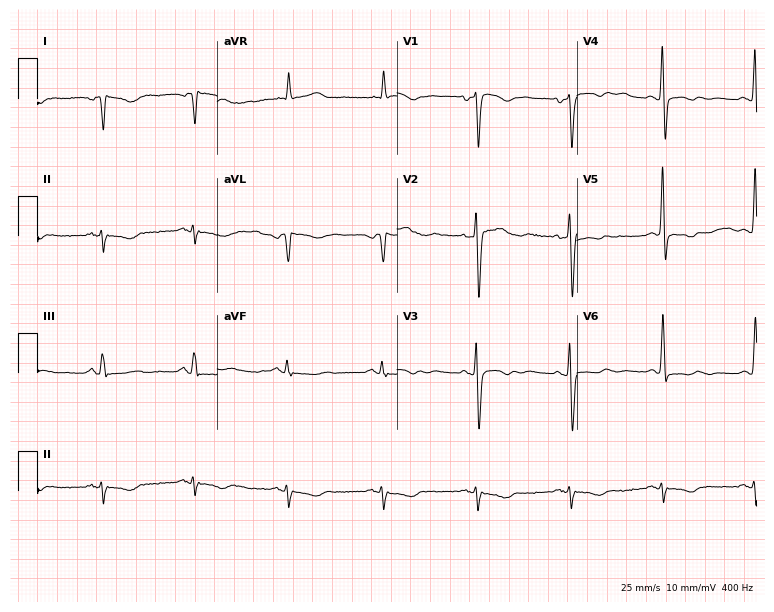
12-lead ECG from a 65-year-old woman (7.3-second recording at 400 Hz). No first-degree AV block, right bundle branch block, left bundle branch block, sinus bradycardia, atrial fibrillation or sinus tachycardia recorded for this tracing.